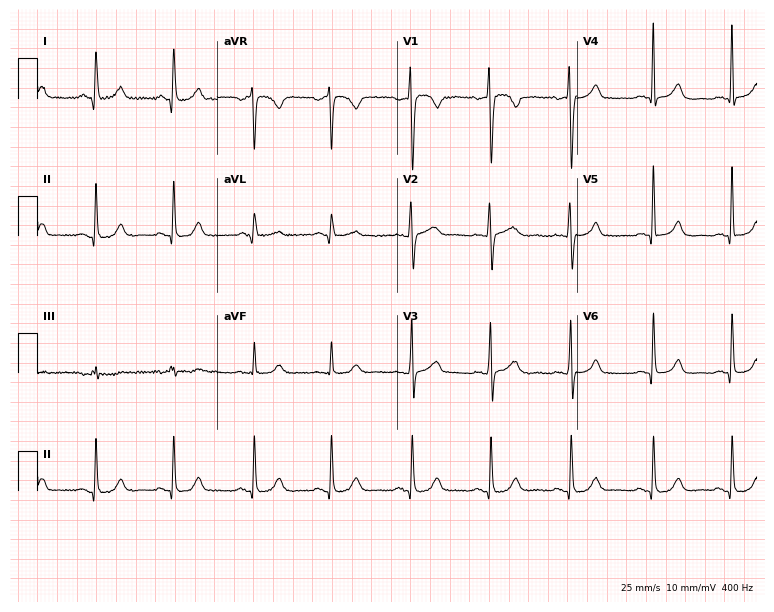
Standard 12-lead ECG recorded from a woman, 37 years old. Read as a normal ECG.